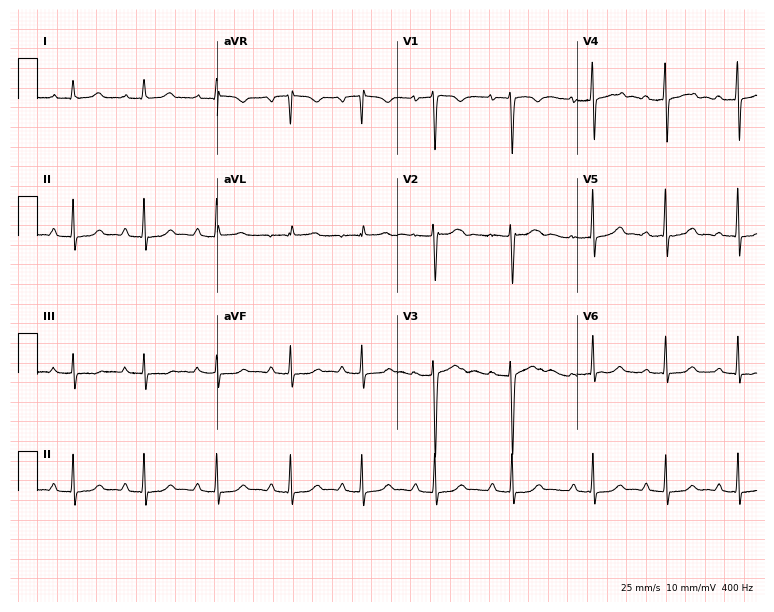
Electrocardiogram, a 28-year-old woman. Overall reading on record: normal ECG.